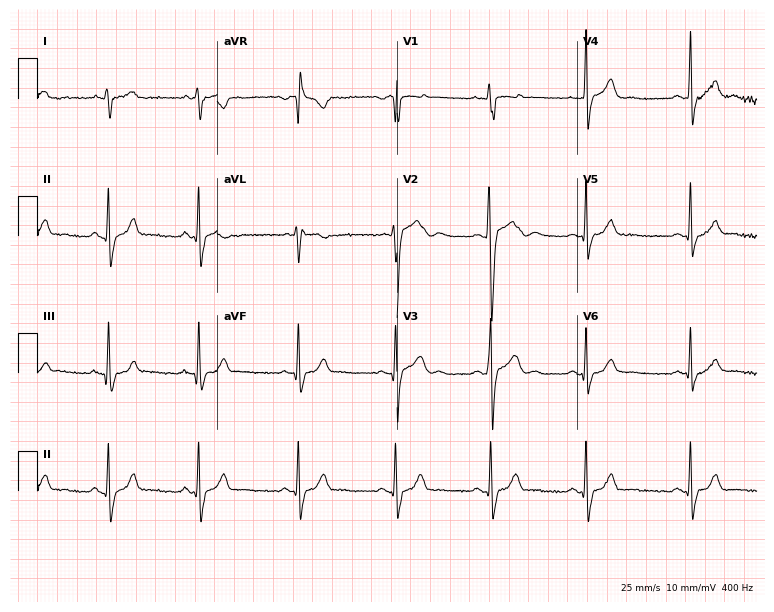
Electrocardiogram, a man, 17 years old. Of the six screened findings (first-degree AV block, right bundle branch block, left bundle branch block, sinus bradycardia, atrial fibrillation, sinus tachycardia), none is recorded. Findings outside these six are not listed.